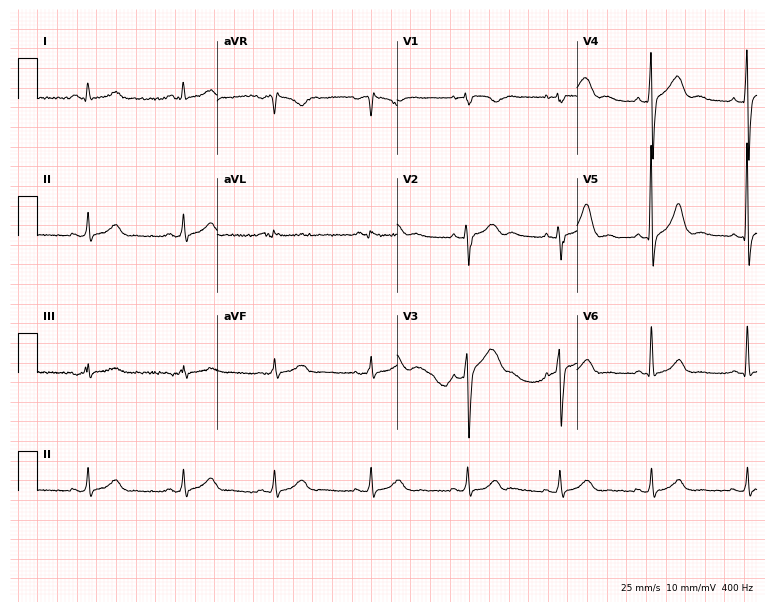
Electrocardiogram (7.3-second recording at 400 Hz), a man, 57 years old. Overall reading on record: normal ECG.